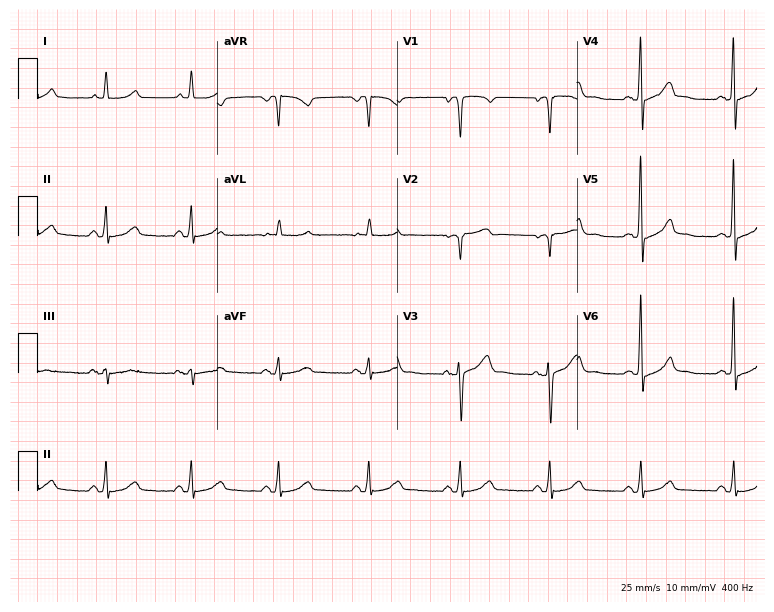
Electrocardiogram (7.3-second recording at 400 Hz), a male, 52 years old. Overall reading on record: normal ECG.